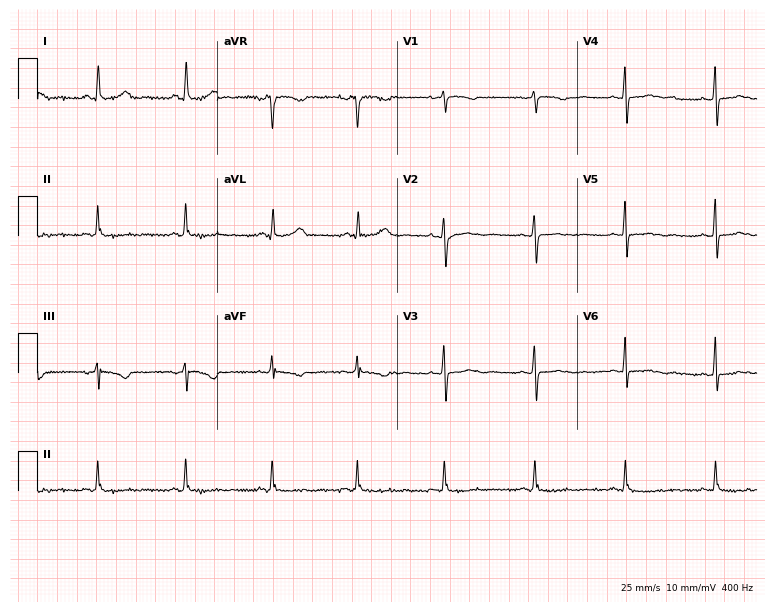
12-lead ECG from a female, 48 years old (7.3-second recording at 400 Hz). No first-degree AV block, right bundle branch block, left bundle branch block, sinus bradycardia, atrial fibrillation or sinus tachycardia recorded for this tracing. Other findings, if any, are not listed.